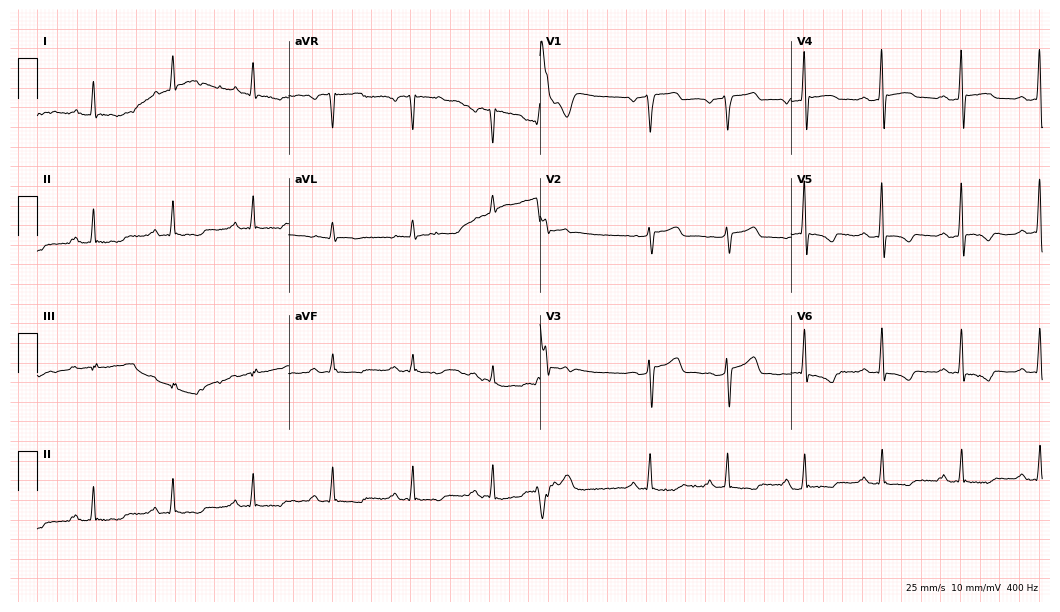
12-lead ECG (10.2-second recording at 400 Hz) from a male, 58 years old. Screened for six findings — first-degree AV block, right bundle branch block, left bundle branch block, sinus bradycardia, atrial fibrillation, sinus tachycardia — none is recorded. Findings outside these six are not listed.